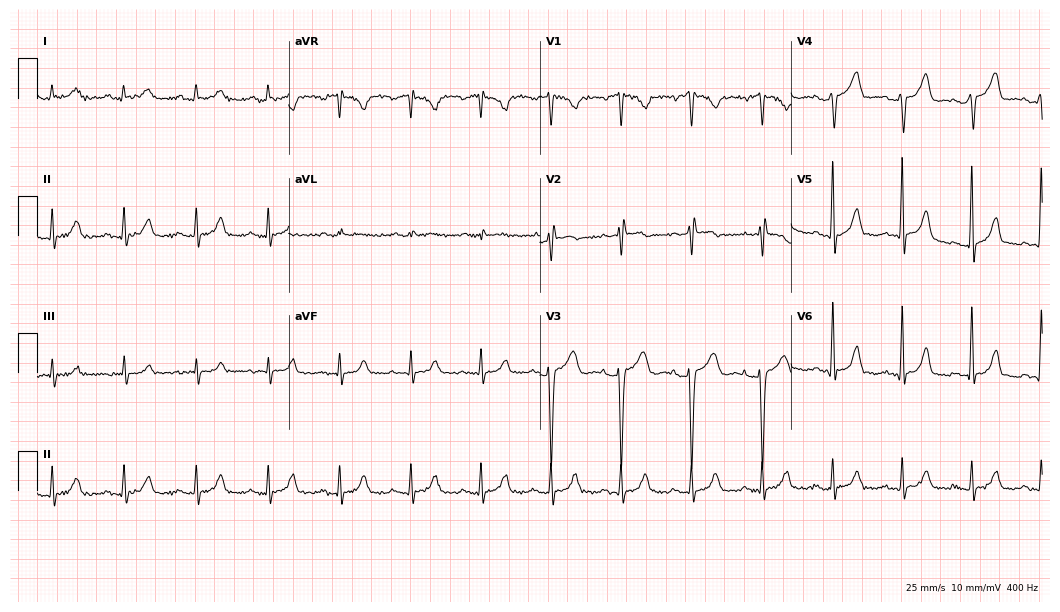
12-lead ECG (10.2-second recording at 400 Hz) from a 76-year-old female patient. Labelled as a normal ECG.